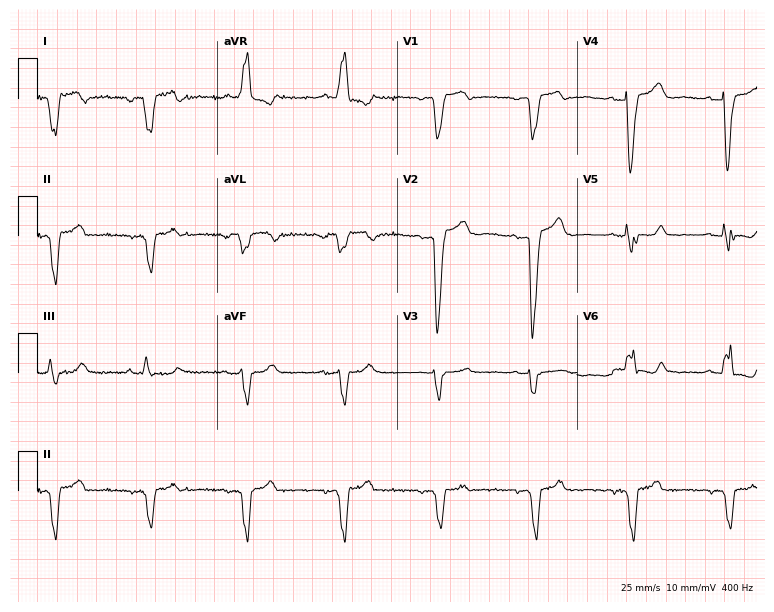
12-lead ECG from a 64-year-old female patient. Screened for six findings — first-degree AV block, right bundle branch block, left bundle branch block, sinus bradycardia, atrial fibrillation, sinus tachycardia — none is recorded. Only these six findings were labelled.